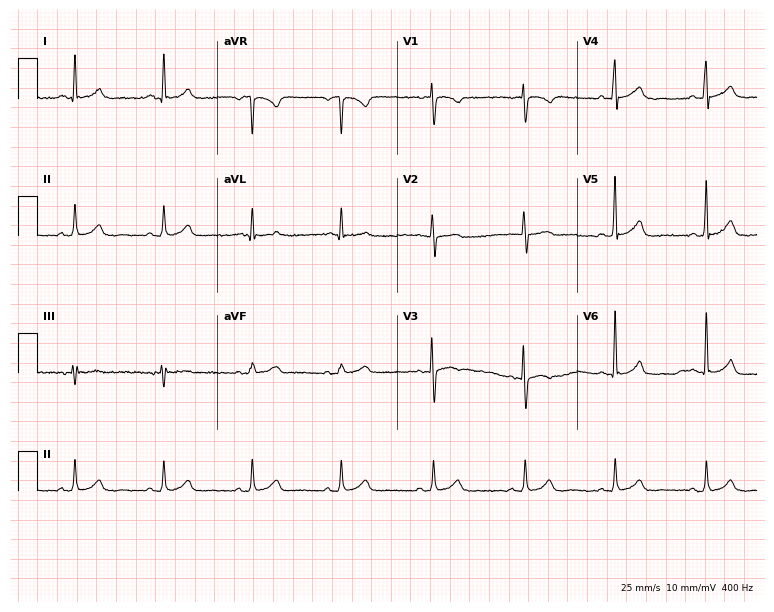
Resting 12-lead electrocardiogram. Patient: a 73-year-old female. Read as a normal ECG.